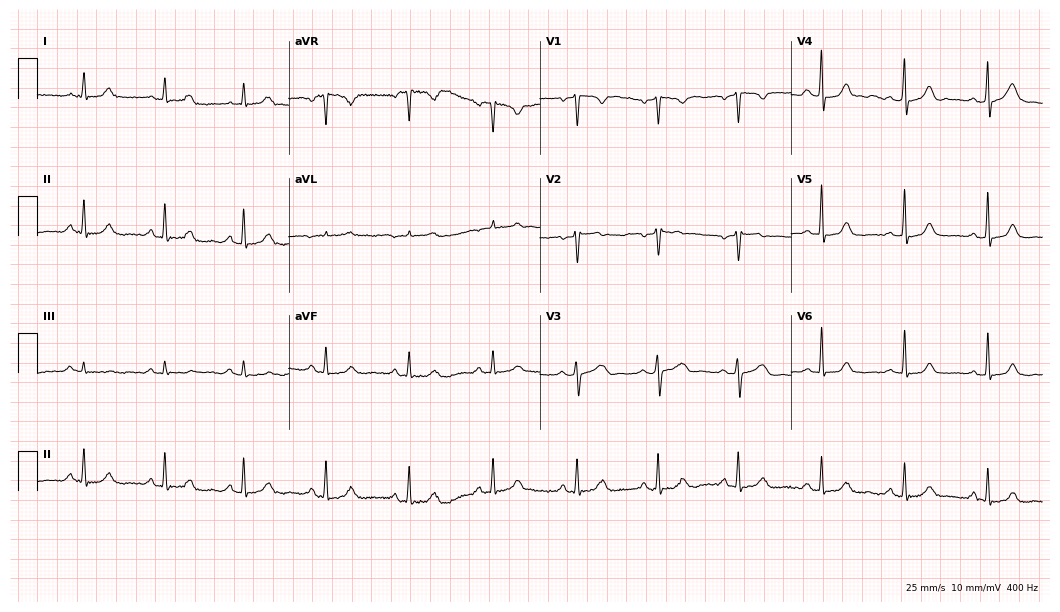
12-lead ECG from a female patient, 48 years old. Recorded interpretation: within normal limits.